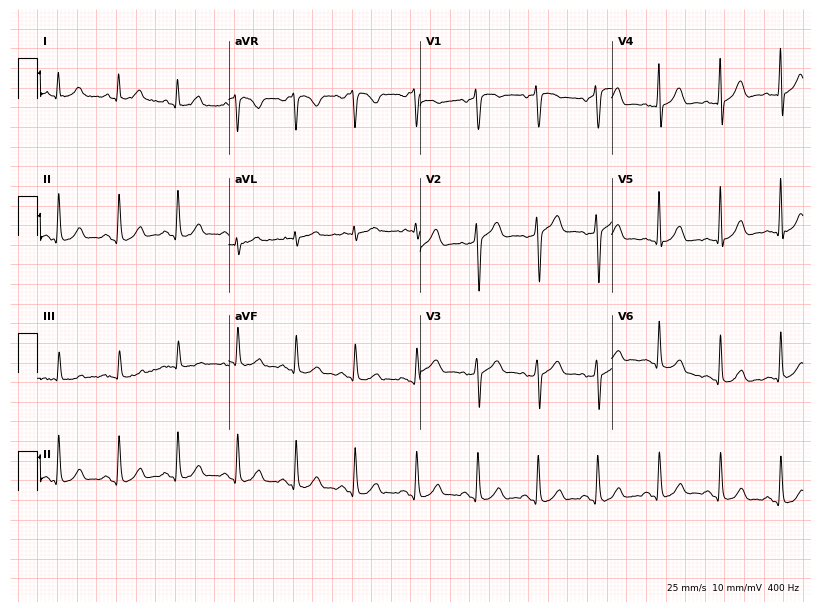
Resting 12-lead electrocardiogram. Patient: a male, 48 years old. Read as a normal ECG.